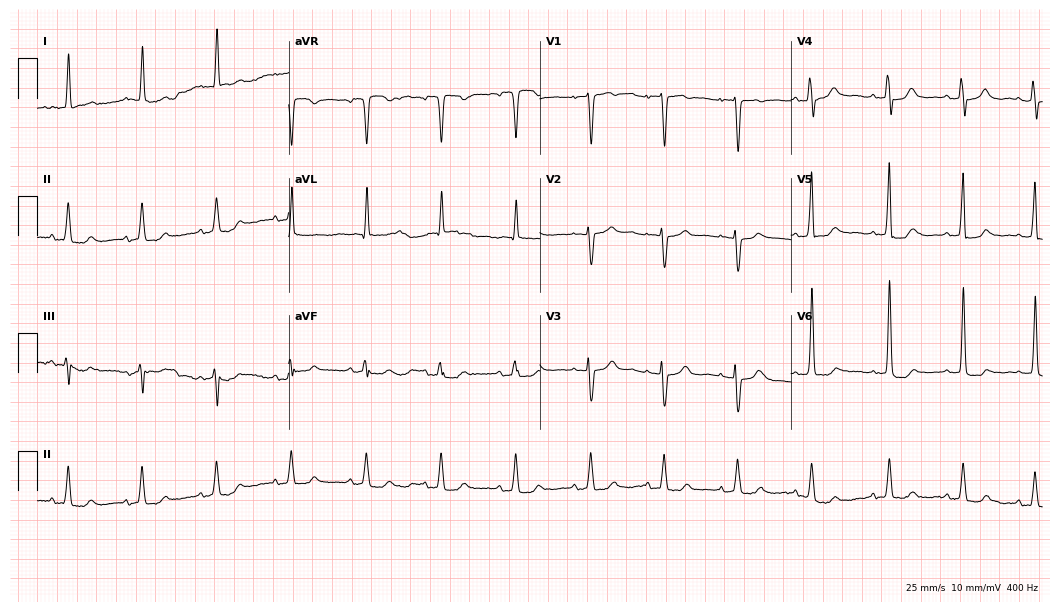
ECG — a female patient, 86 years old. Screened for six findings — first-degree AV block, right bundle branch block, left bundle branch block, sinus bradycardia, atrial fibrillation, sinus tachycardia — none is recorded.